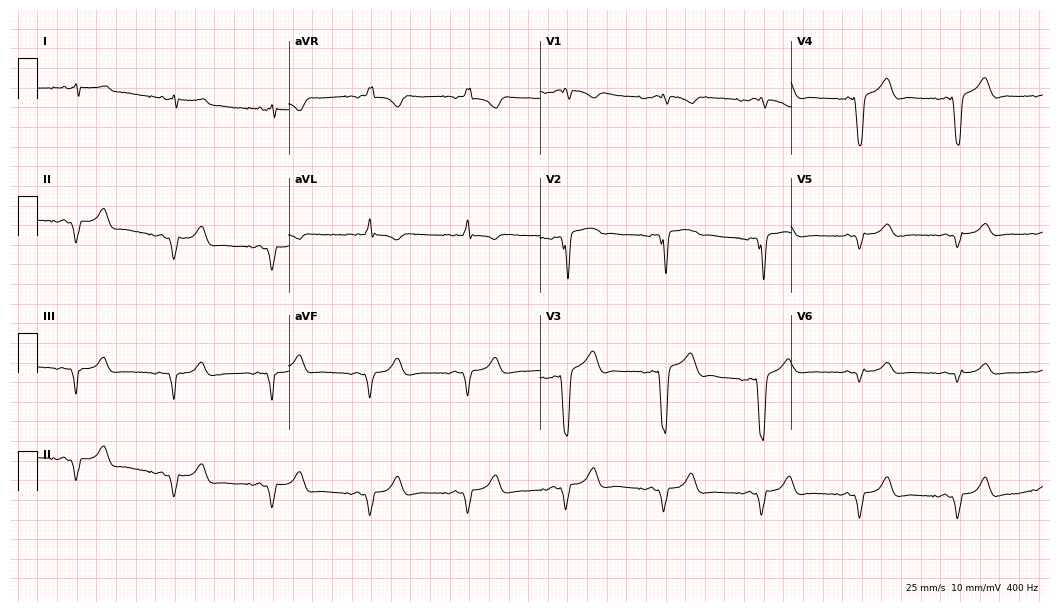
ECG (10.2-second recording at 400 Hz) — a female, 66 years old. Screened for six findings — first-degree AV block, right bundle branch block, left bundle branch block, sinus bradycardia, atrial fibrillation, sinus tachycardia — none is recorded.